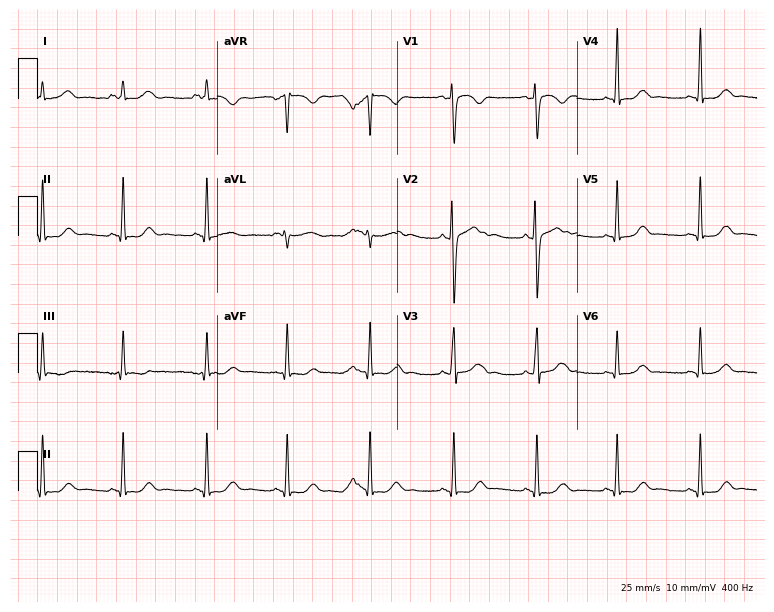
ECG — a 21-year-old female. Screened for six findings — first-degree AV block, right bundle branch block, left bundle branch block, sinus bradycardia, atrial fibrillation, sinus tachycardia — none is recorded. Findings outside these six are not listed.